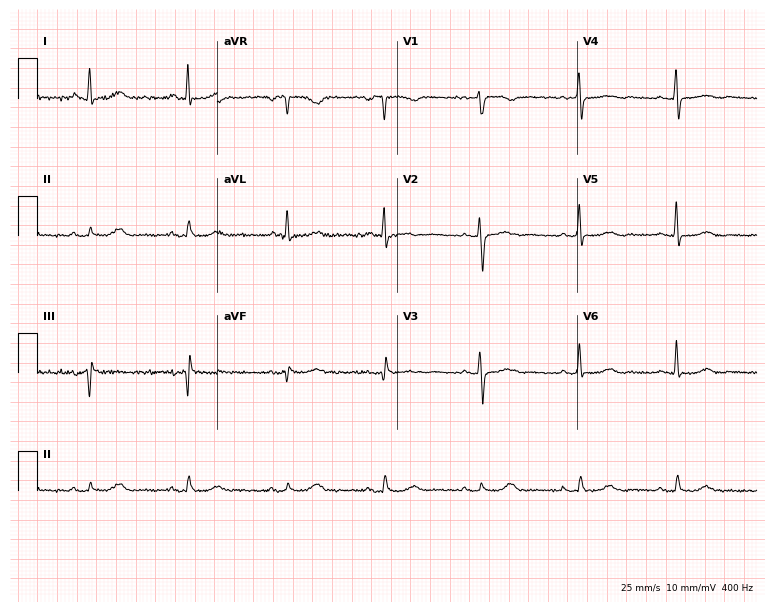
Electrocardiogram, a woman, 67 years old. Overall reading on record: normal ECG.